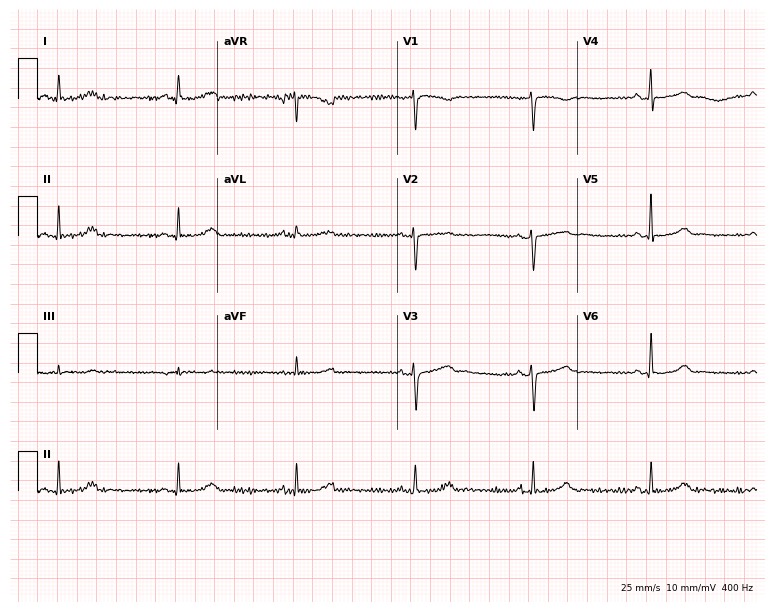
12-lead ECG (7.3-second recording at 400 Hz) from a 42-year-old woman. Labelled as a normal ECG.